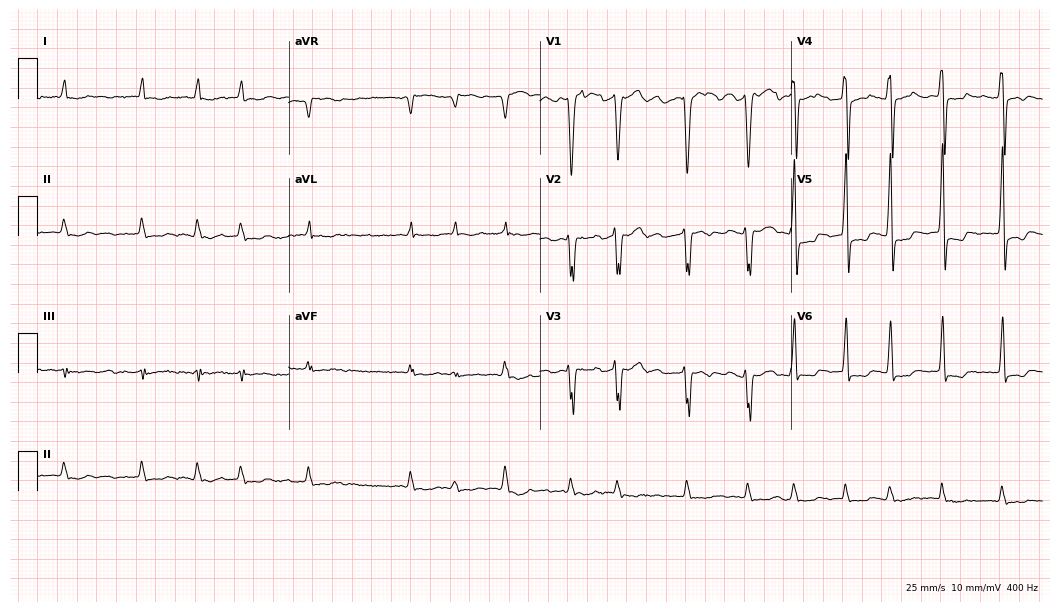
Resting 12-lead electrocardiogram. Patient: a 53-year-old male. The tracing shows atrial fibrillation.